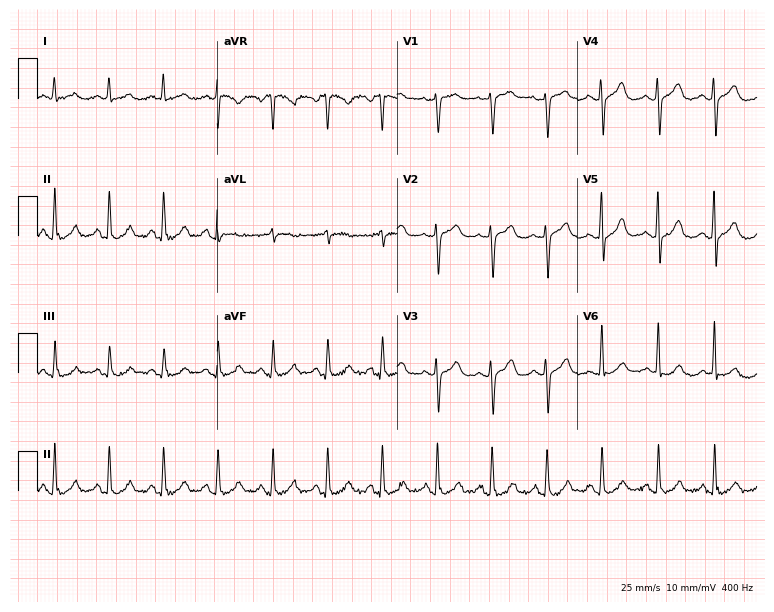
ECG (7.3-second recording at 400 Hz) — a female patient, 62 years old. Findings include sinus tachycardia (a sinus rate of 100 beats per minute or more).